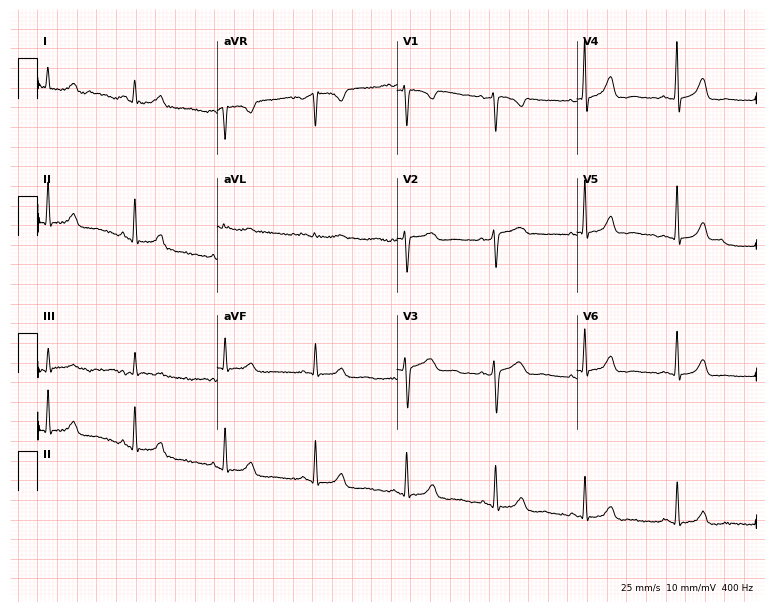
Electrocardiogram (7.3-second recording at 400 Hz), a female, 38 years old. Of the six screened findings (first-degree AV block, right bundle branch block, left bundle branch block, sinus bradycardia, atrial fibrillation, sinus tachycardia), none is recorded. Only these six findings were labelled.